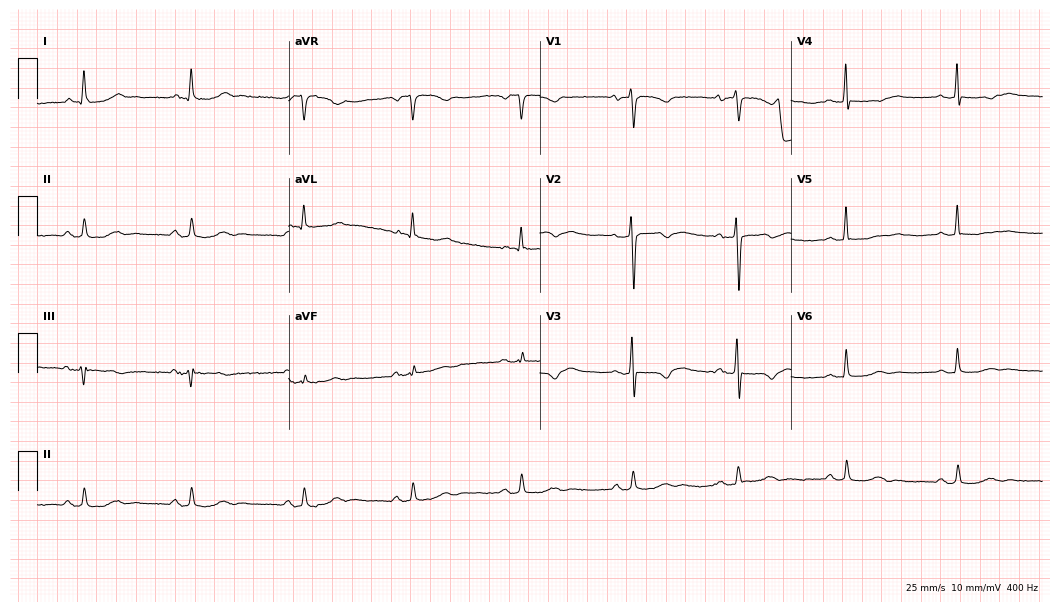
Standard 12-lead ECG recorded from a female, 66 years old (10.2-second recording at 400 Hz). None of these six findings is recorded: first-degree AV block, right bundle branch block, left bundle branch block, sinus bradycardia, atrial fibrillation, sinus tachycardia. Other findings, if any, are not listed.